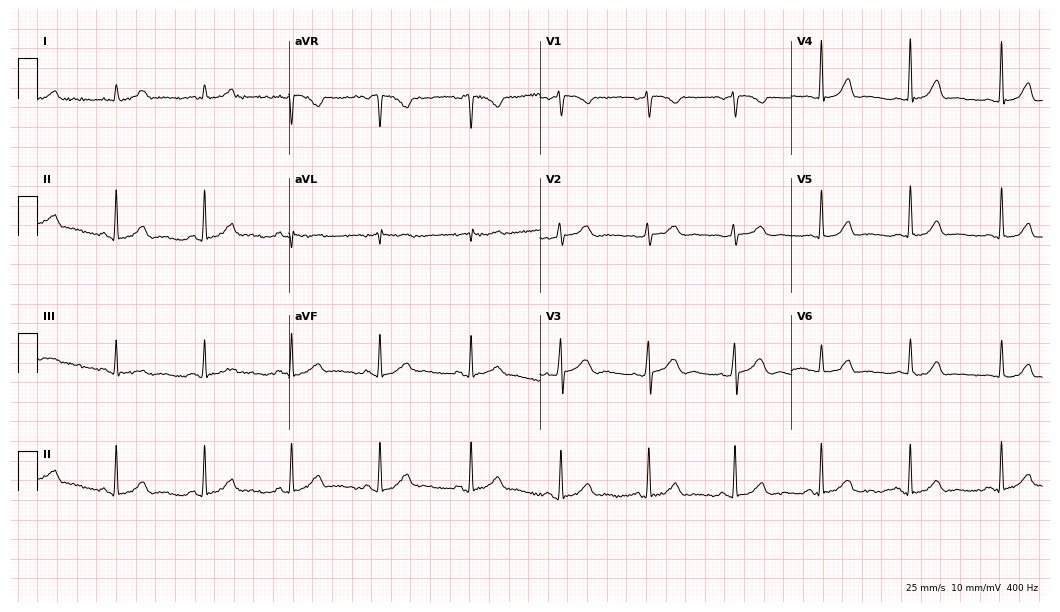
Resting 12-lead electrocardiogram. Patient: a 60-year-old female. None of these six findings is recorded: first-degree AV block, right bundle branch block, left bundle branch block, sinus bradycardia, atrial fibrillation, sinus tachycardia. Findings outside these six are not listed.